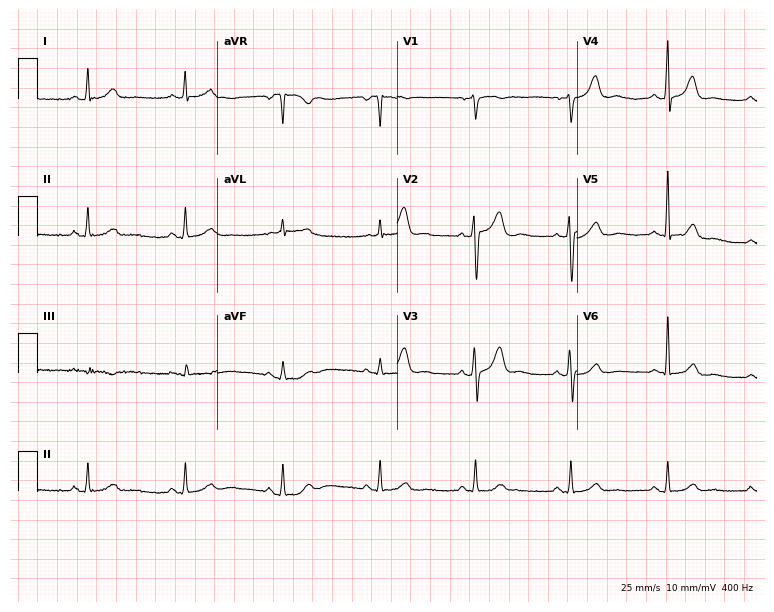
Resting 12-lead electrocardiogram. Patient: a 64-year-old male. None of these six findings is recorded: first-degree AV block, right bundle branch block, left bundle branch block, sinus bradycardia, atrial fibrillation, sinus tachycardia. Only these six findings were labelled.